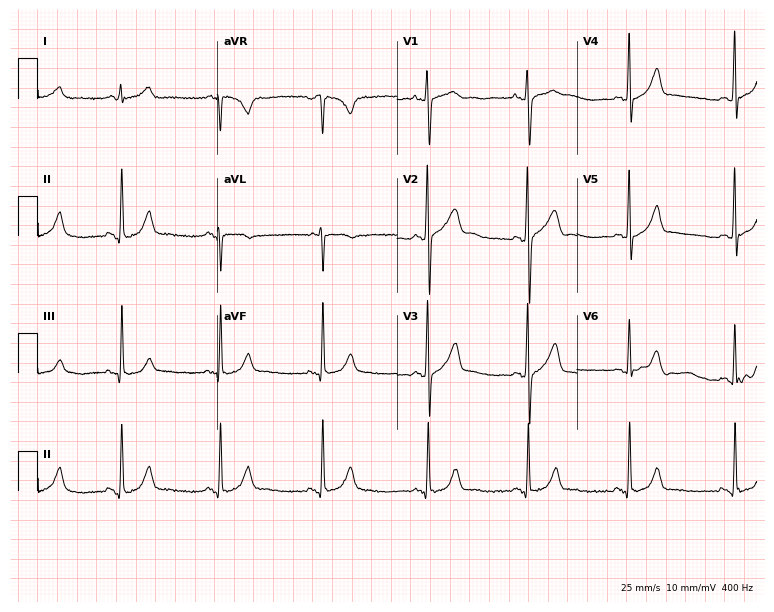
Electrocardiogram (7.3-second recording at 400 Hz), a 24-year-old man. Of the six screened findings (first-degree AV block, right bundle branch block, left bundle branch block, sinus bradycardia, atrial fibrillation, sinus tachycardia), none is recorded.